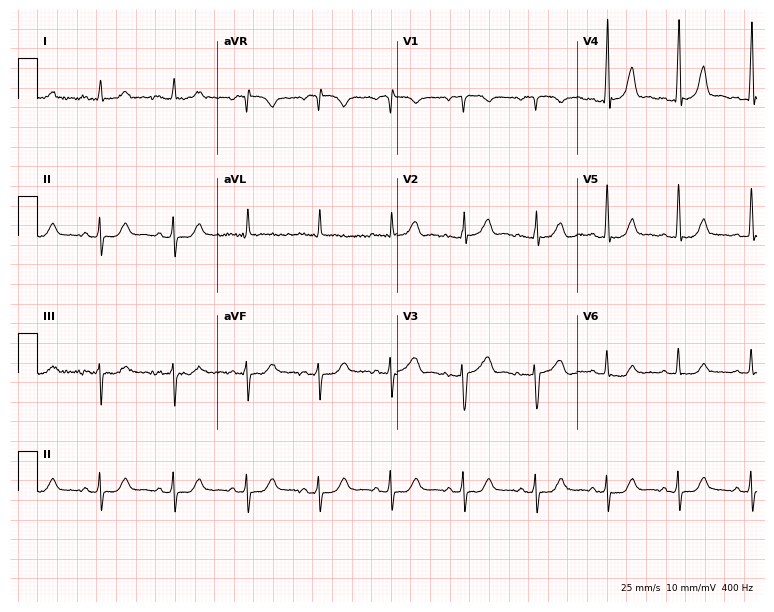
ECG (7.3-second recording at 400 Hz) — a woman, 63 years old. Labelled as a normal ECG.